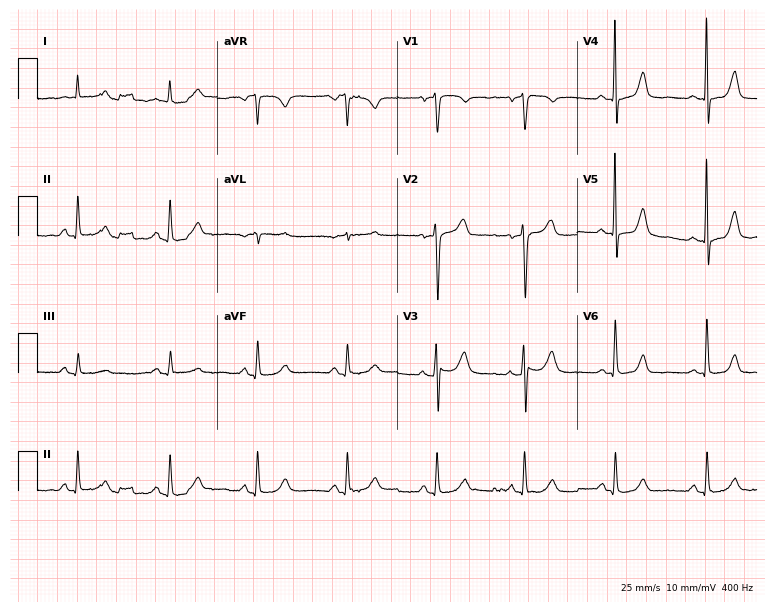
Electrocardiogram (7.3-second recording at 400 Hz), a female, 80 years old. Of the six screened findings (first-degree AV block, right bundle branch block, left bundle branch block, sinus bradycardia, atrial fibrillation, sinus tachycardia), none is recorded.